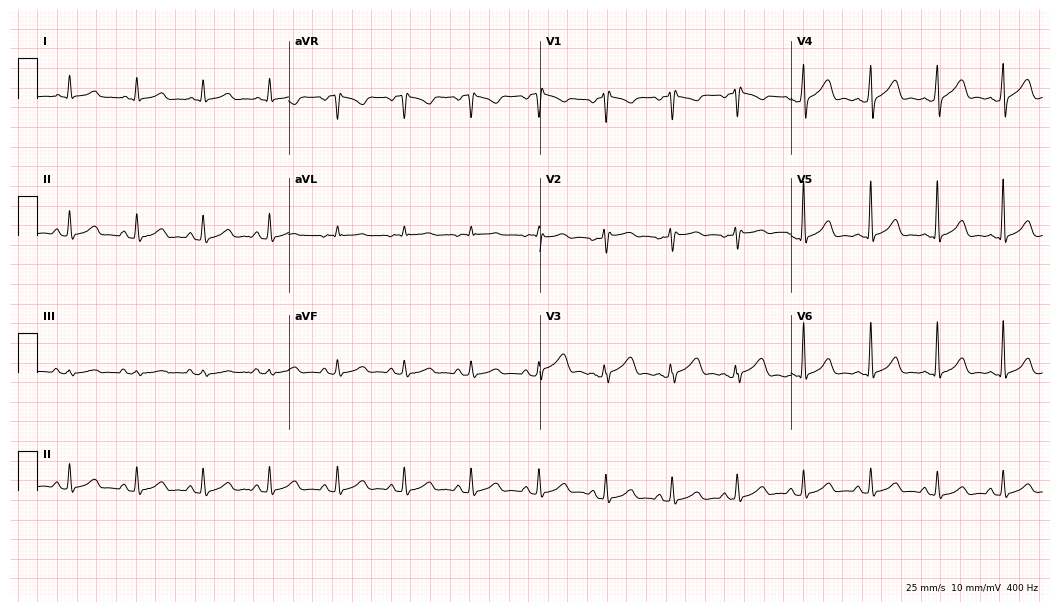
12-lead ECG from a 35-year-old female patient. No first-degree AV block, right bundle branch block, left bundle branch block, sinus bradycardia, atrial fibrillation or sinus tachycardia recorded for this tracing. Findings outside these six are not listed.